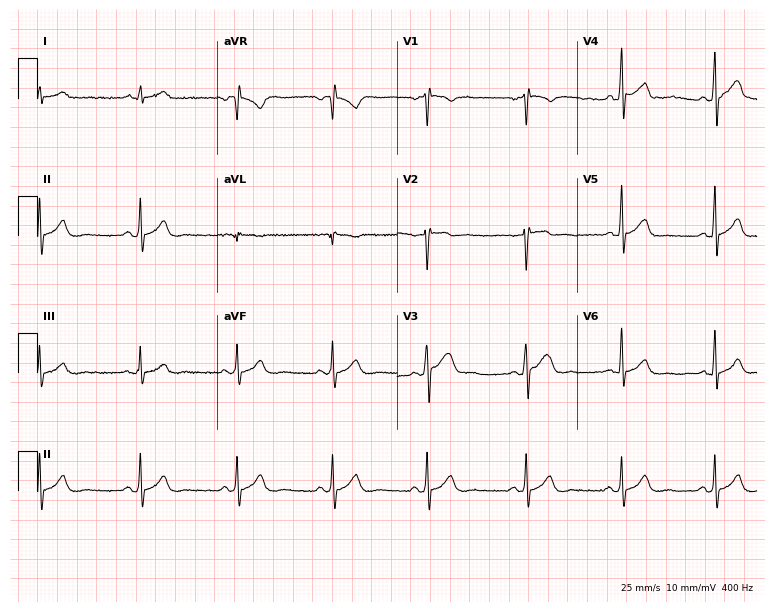
Standard 12-lead ECG recorded from a man, 23 years old (7.3-second recording at 400 Hz). Read as a normal ECG.